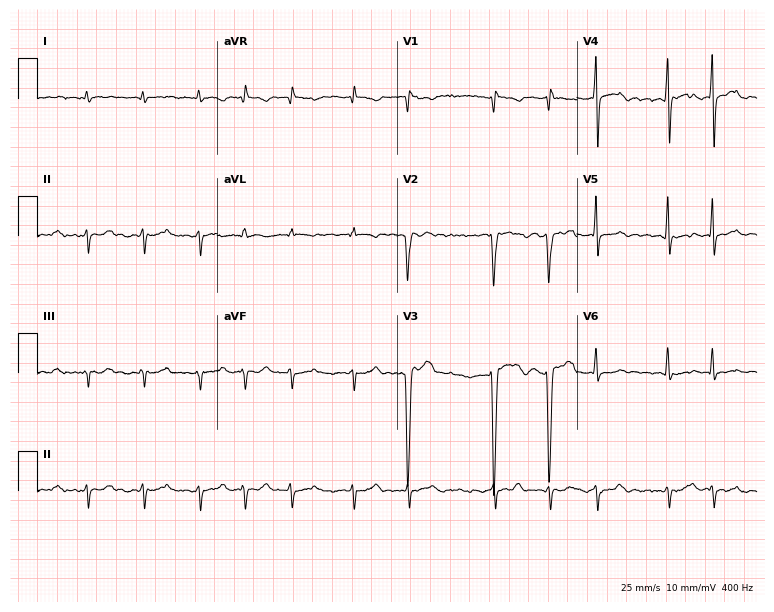
ECG (7.3-second recording at 400 Hz) — a 56-year-old man. Findings include atrial fibrillation (AF).